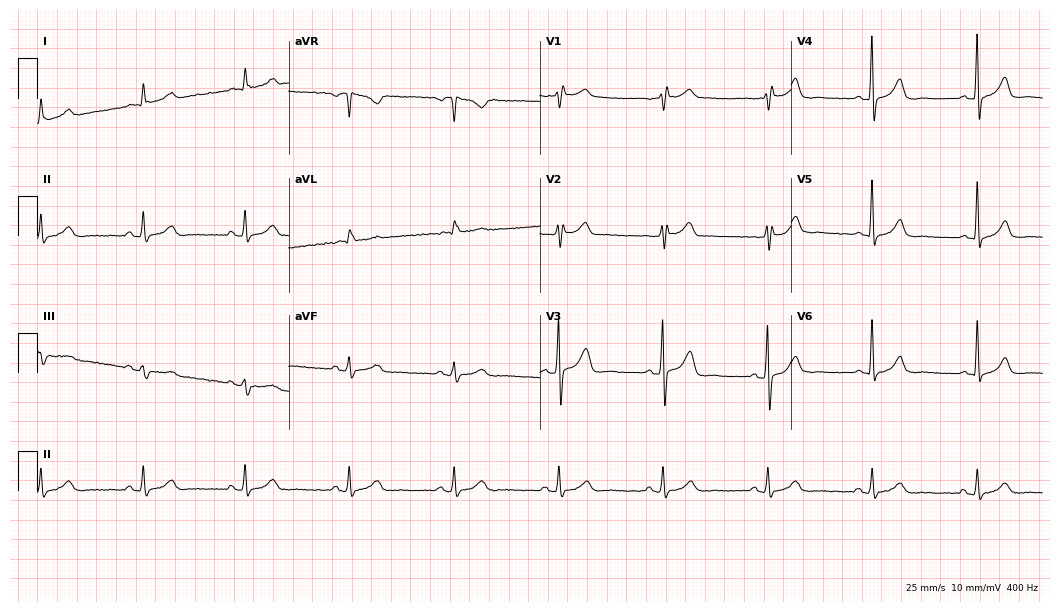
12-lead ECG (10.2-second recording at 400 Hz) from a 69-year-old male. Screened for six findings — first-degree AV block, right bundle branch block (RBBB), left bundle branch block (LBBB), sinus bradycardia, atrial fibrillation (AF), sinus tachycardia — none is recorded.